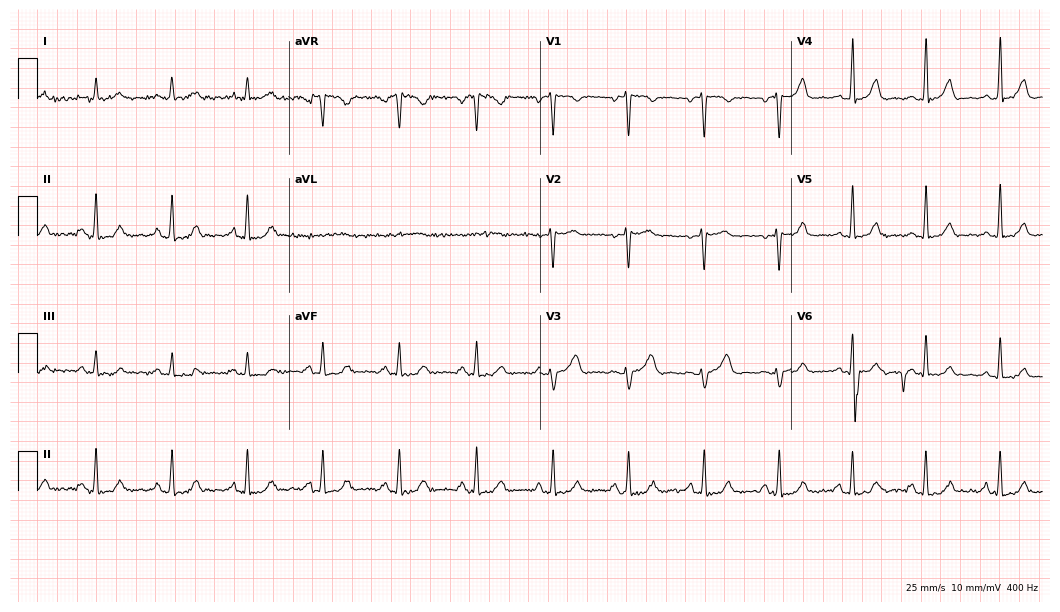
Electrocardiogram, a man, 32 years old. Overall reading on record: normal ECG.